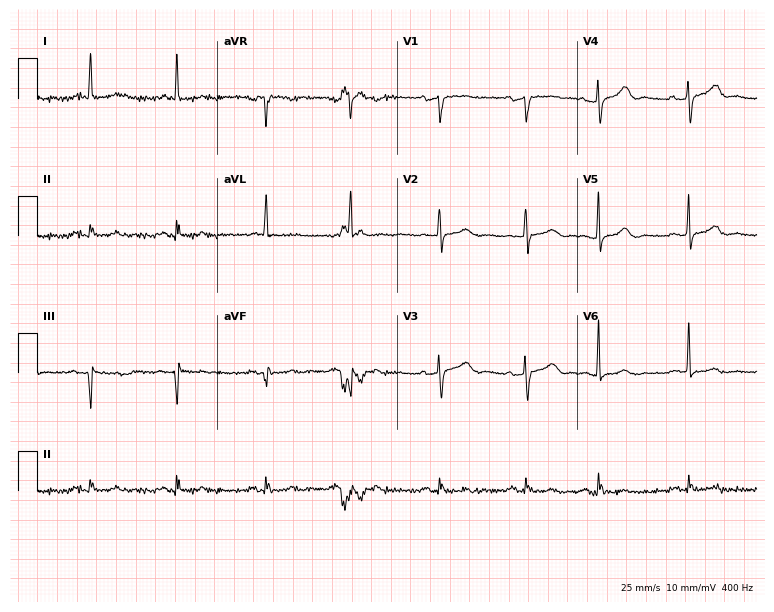
12-lead ECG (7.3-second recording at 400 Hz) from a woman, 78 years old. Screened for six findings — first-degree AV block, right bundle branch block (RBBB), left bundle branch block (LBBB), sinus bradycardia, atrial fibrillation (AF), sinus tachycardia — none is recorded.